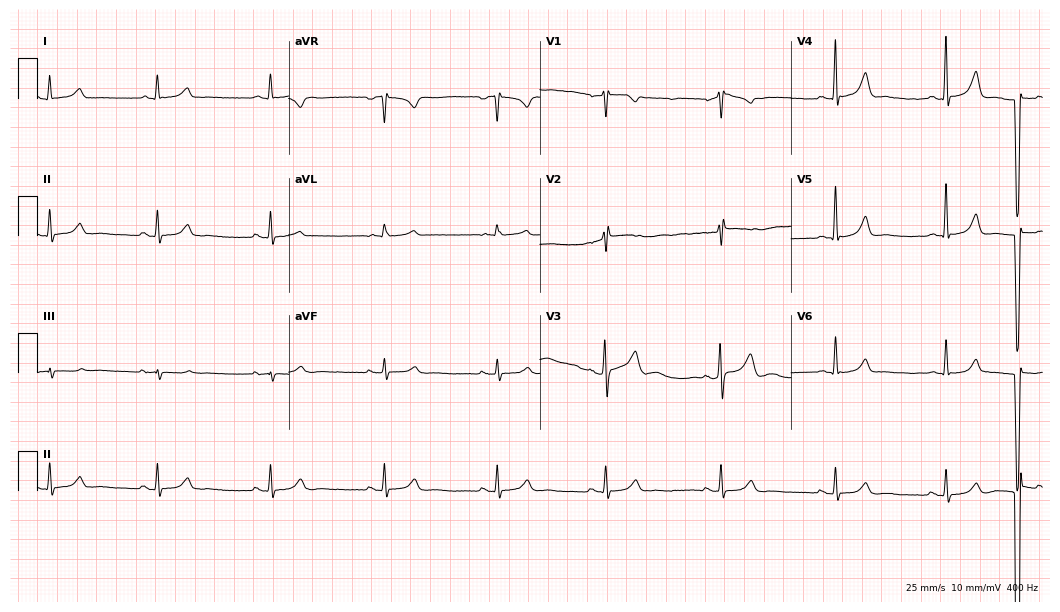
Standard 12-lead ECG recorded from a 38-year-old male patient (10.2-second recording at 400 Hz). Read as a normal ECG.